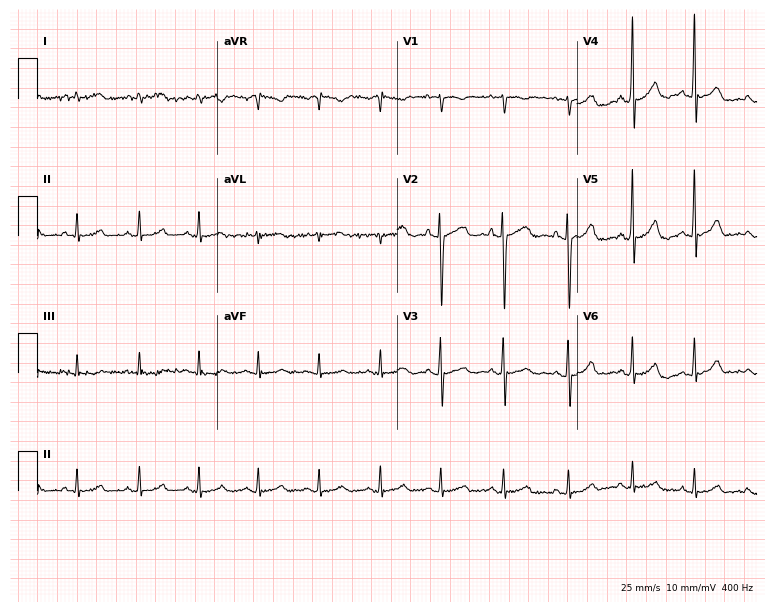
Resting 12-lead electrocardiogram (7.3-second recording at 400 Hz). Patient: a female, 25 years old. None of these six findings is recorded: first-degree AV block, right bundle branch block, left bundle branch block, sinus bradycardia, atrial fibrillation, sinus tachycardia. Only these six findings were labelled.